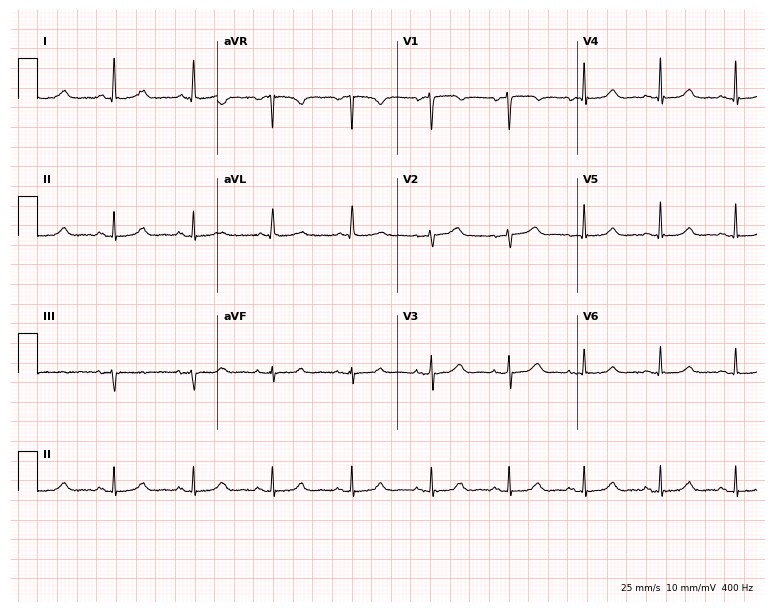
ECG (7.3-second recording at 400 Hz) — a woman, 64 years old. Labelled as a normal ECG.